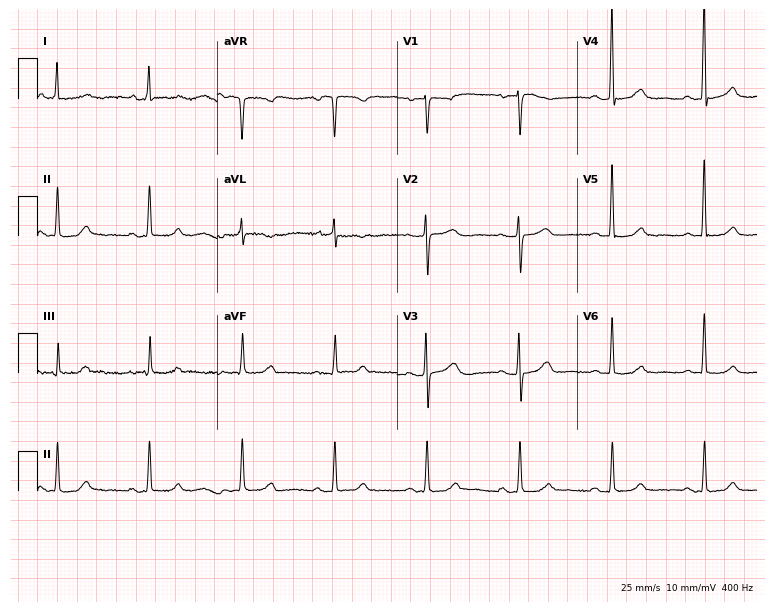
12-lead ECG from a 78-year-old woman (7.3-second recording at 400 Hz). No first-degree AV block, right bundle branch block, left bundle branch block, sinus bradycardia, atrial fibrillation or sinus tachycardia recorded for this tracing.